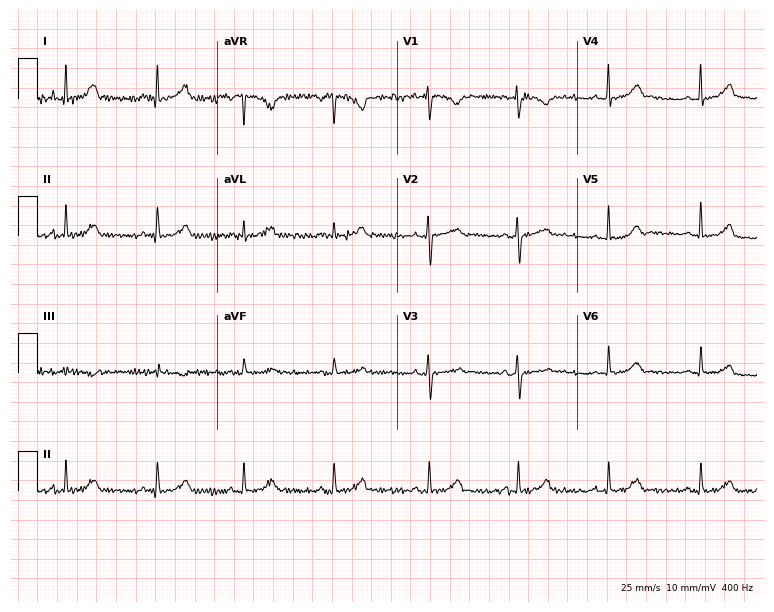
Standard 12-lead ECG recorded from a 31-year-old female patient (7.3-second recording at 400 Hz). Read as a normal ECG.